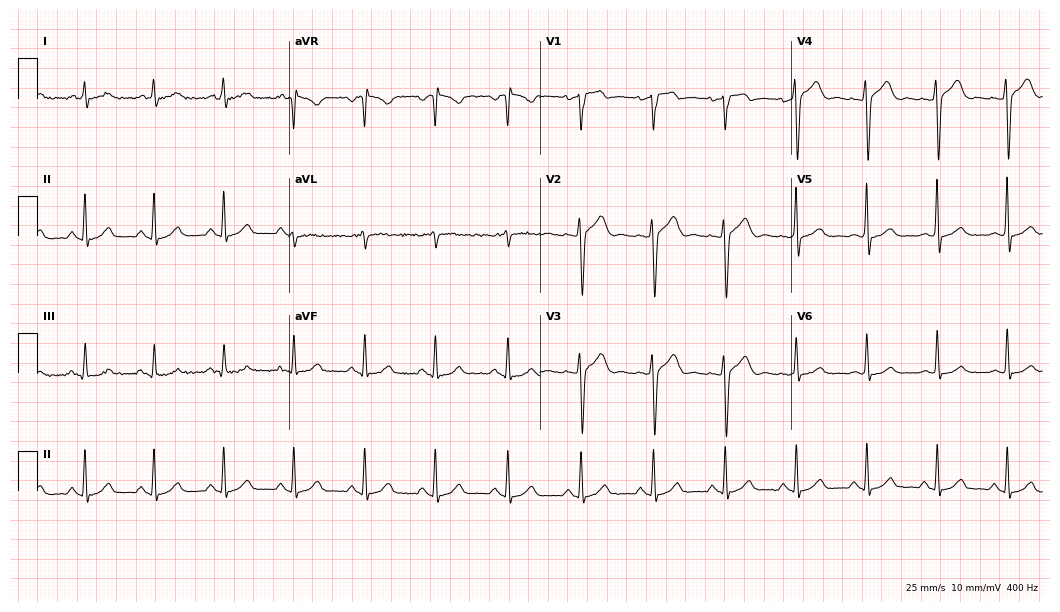
ECG (10.2-second recording at 400 Hz) — a male patient, 54 years old. Labelled as a normal ECG.